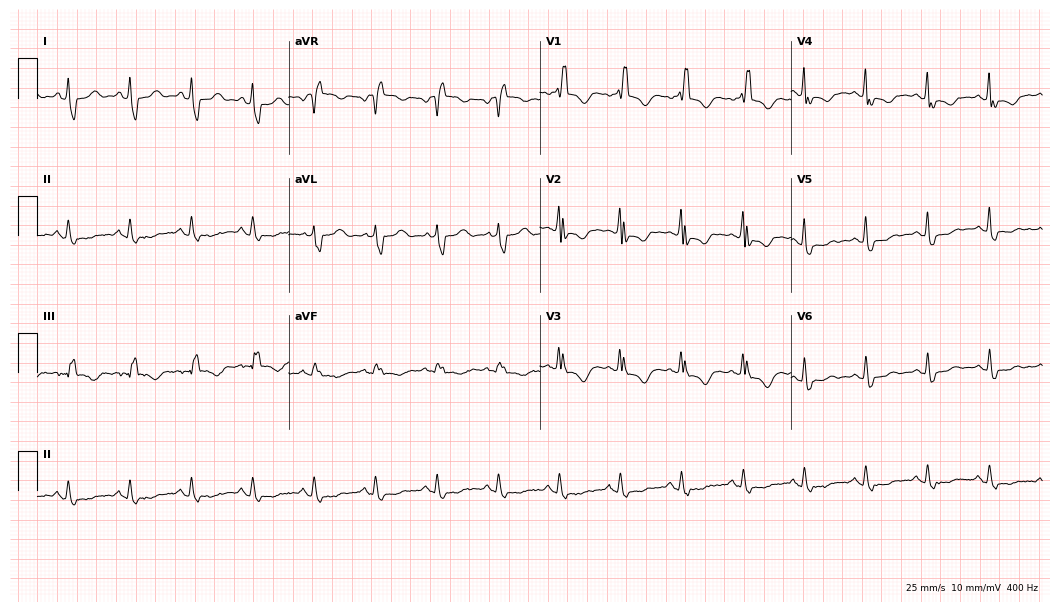
ECG (10.2-second recording at 400 Hz) — a 65-year-old female patient. Screened for six findings — first-degree AV block, right bundle branch block (RBBB), left bundle branch block (LBBB), sinus bradycardia, atrial fibrillation (AF), sinus tachycardia — none is recorded. Only these six findings were labelled.